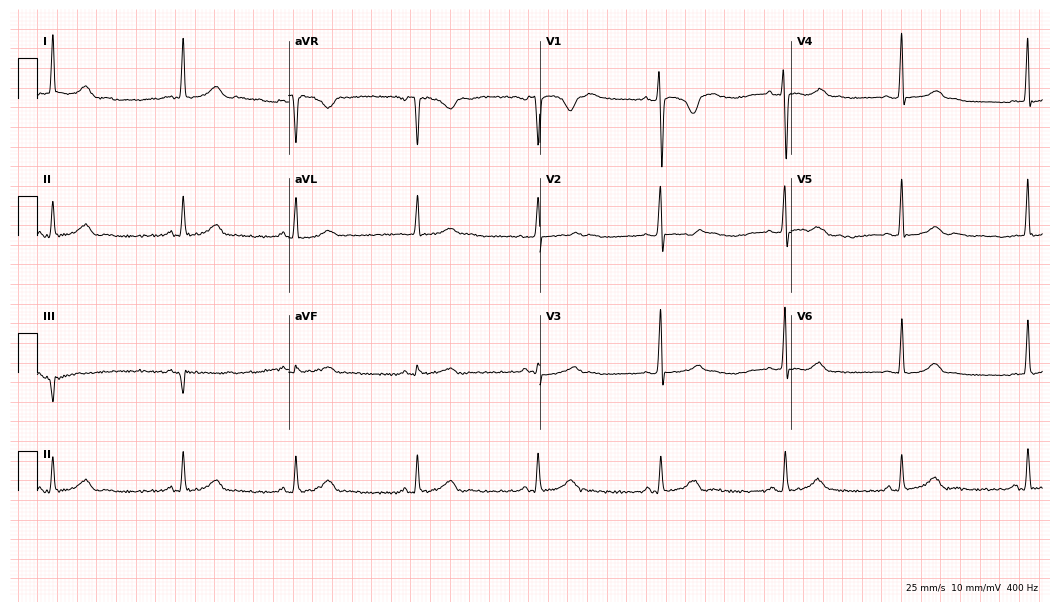
Resting 12-lead electrocardiogram. Patient: a 27-year-old female. None of these six findings is recorded: first-degree AV block, right bundle branch block, left bundle branch block, sinus bradycardia, atrial fibrillation, sinus tachycardia.